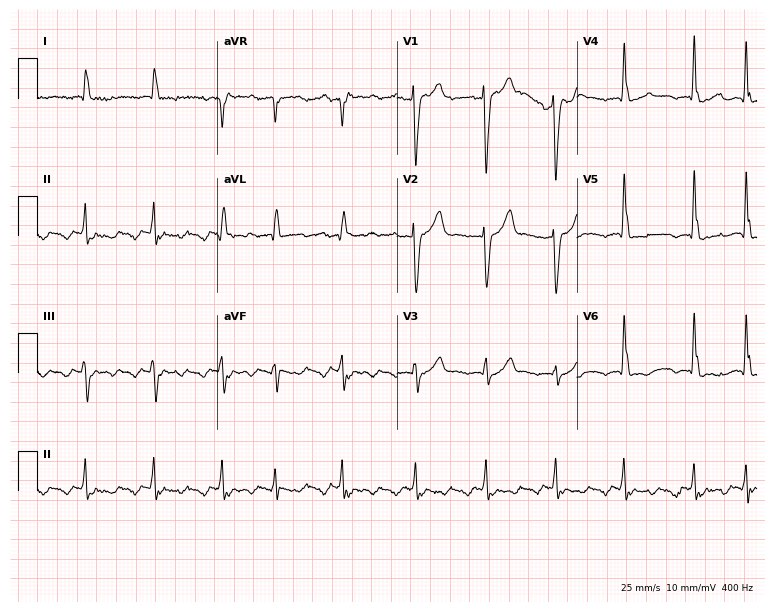
Resting 12-lead electrocardiogram. Patient: a 77-year-old man. None of these six findings is recorded: first-degree AV block, right bundle branch block, left bundle branch block, sinus bradycardia, atrial fibrillation, sinus tachycardia. Other findings, if any, are not listed.